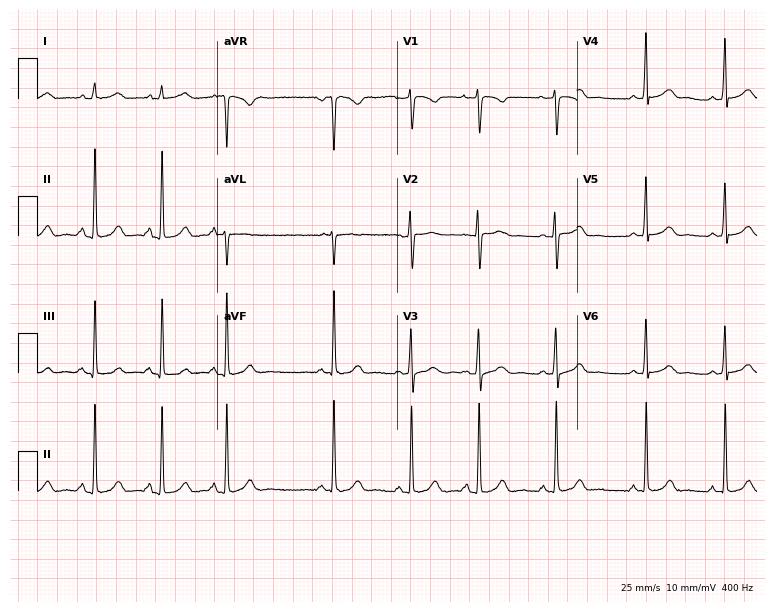
Electrocardiogram (7.3-second recording at 400 Hz), a female patient, 25 years old. Of the six screened findings (first-degree AV block, right bundle branch block, left bundle branch block, sinus bradycardia, atrial fibrillation, sinus tachycardia), none is recorded.